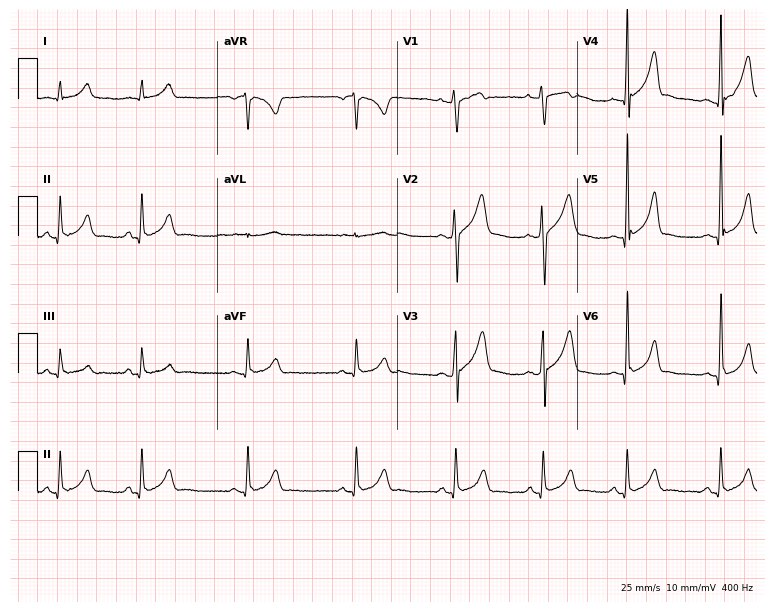
Resting 12-lead electrocardiogram (7.3-second recording at 400 Hz). Patient: a male, 20 years old. Read as a normal ECG.